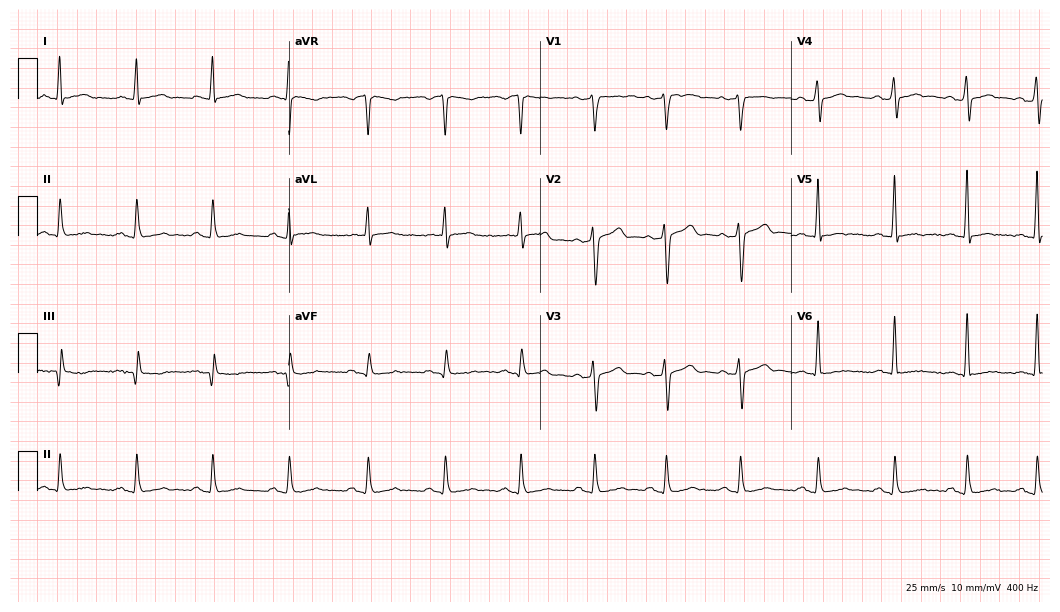
ECG — a man, 44 years old. Screened for six findings — first-degree AV block, right bundle branch block (RBBB), left bundle branch block (LBBB), sinus bradycardia, atrial fibrillation (AF), sinus tachycardia — none is recorded. Findings outside these six are not listed.